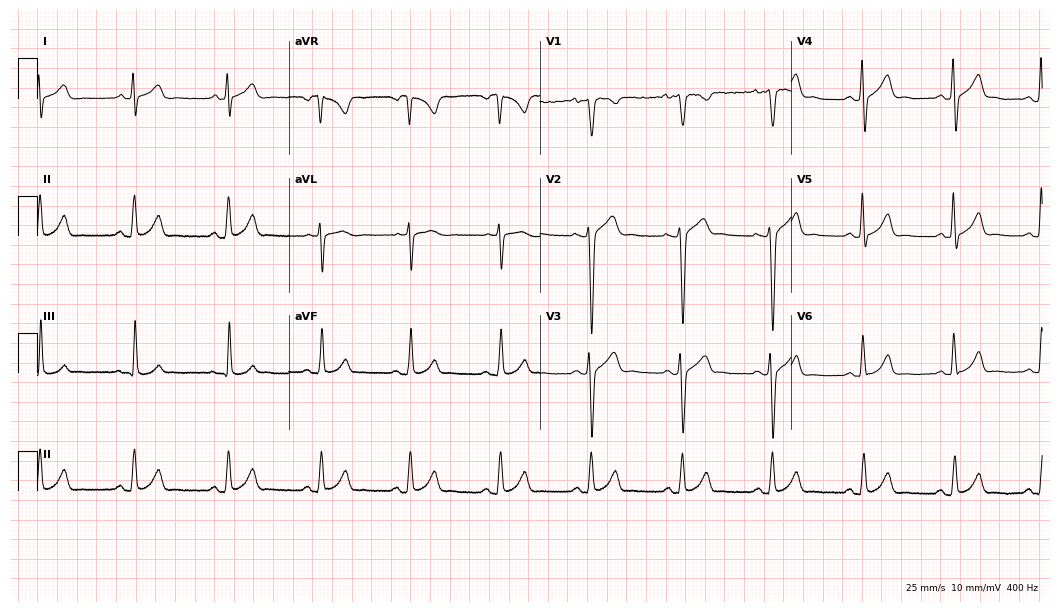
12-lead ECG from a 35-year-old man. Labelled as a normal ECG.